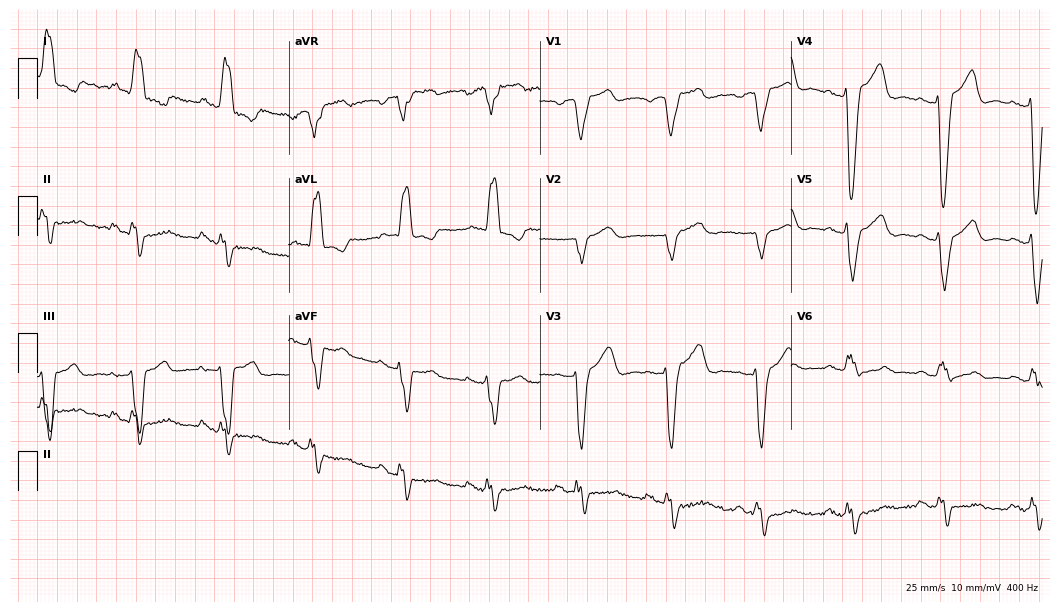
Resting 12-lead electrocardiogram (10.2-second recording at 400 Hz). Patient: a 65-year-old female. The tracing shows left bundle branch block.